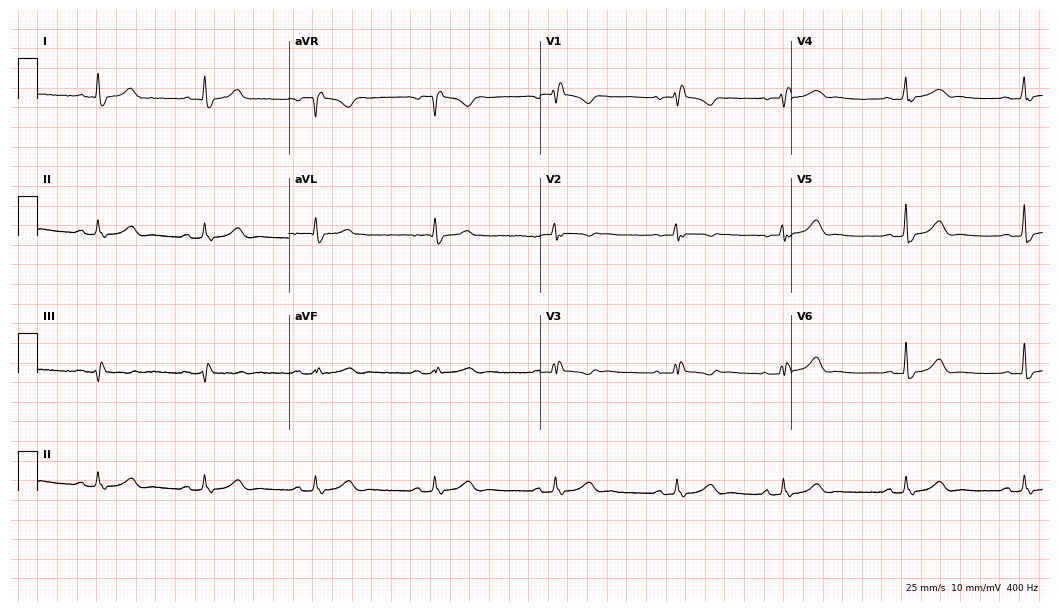
Electrocardiogram (10.2-second recording at 400 Hz), a female, 62 years old. Interpretation includes right bundle branch block, sinus bradycardia (a sinus rate of 50 beats per minute or less).